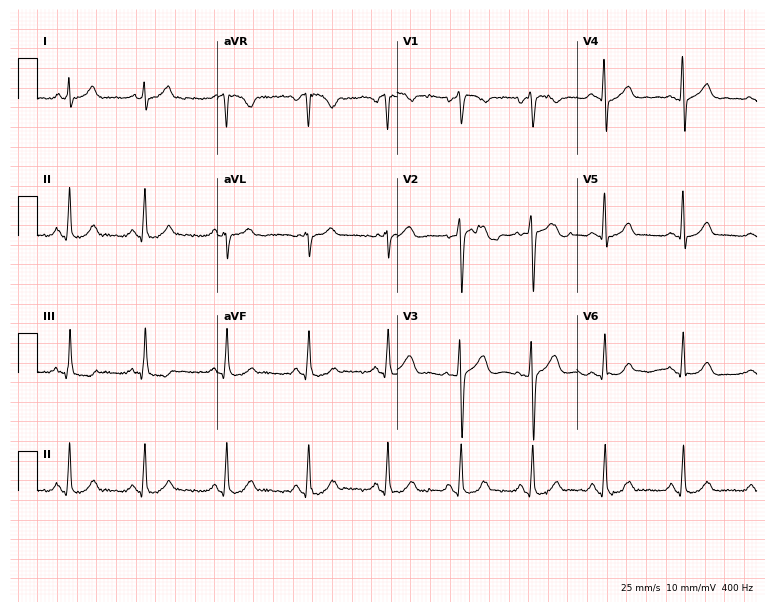
12-lead ECG from a 34-year-old female patient. Recorded interpretation: within normal limits.